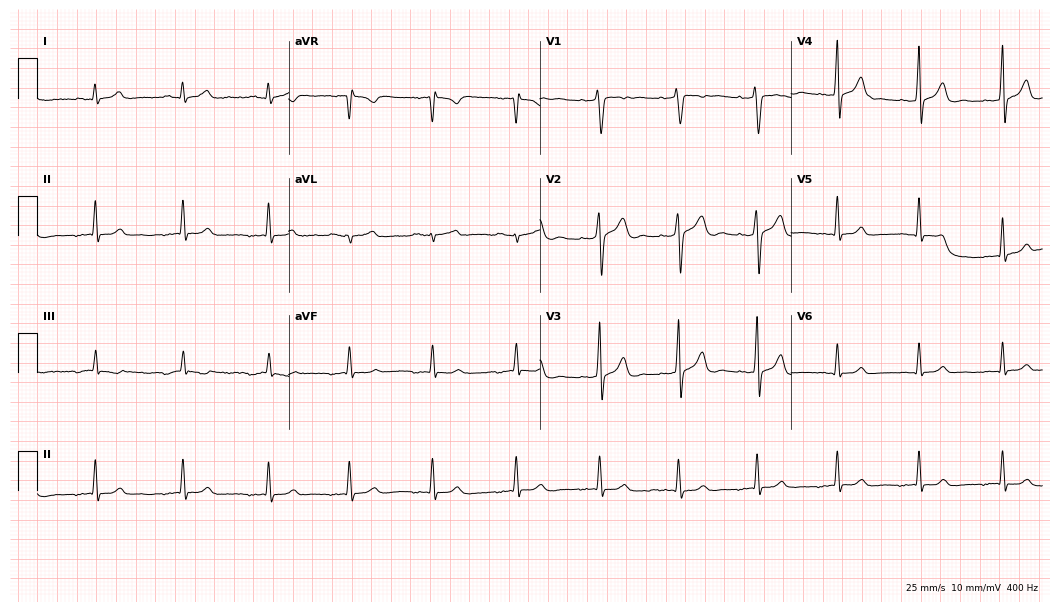
12-lead ECG (10.2-second recording at 400 Hz) from a male patient, 24 years old. Labelled as a normal ECG.